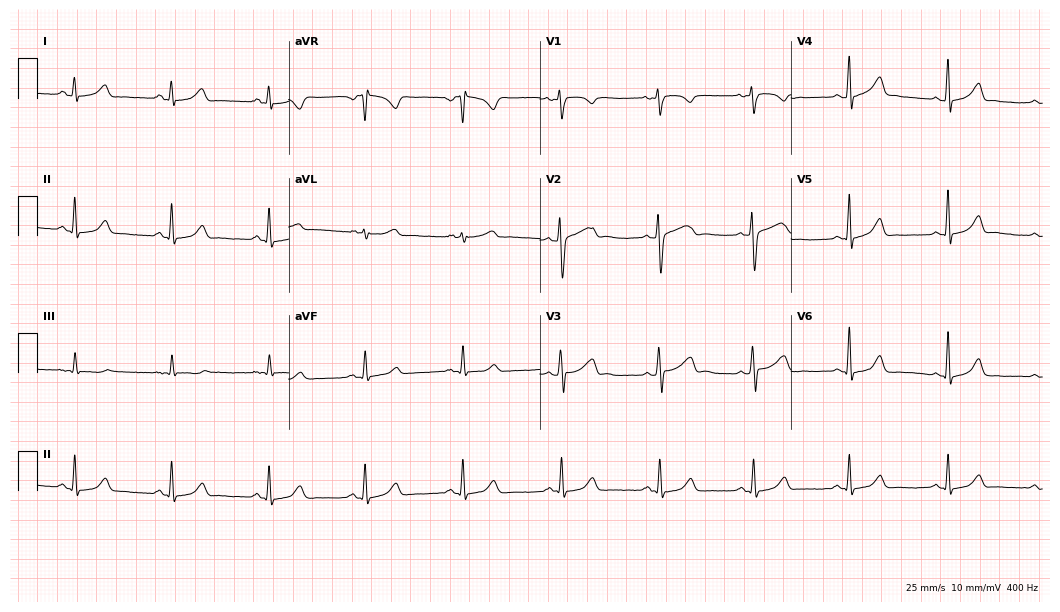
ECG — a 27-year-old female patient. Labelled as a normal ECG.